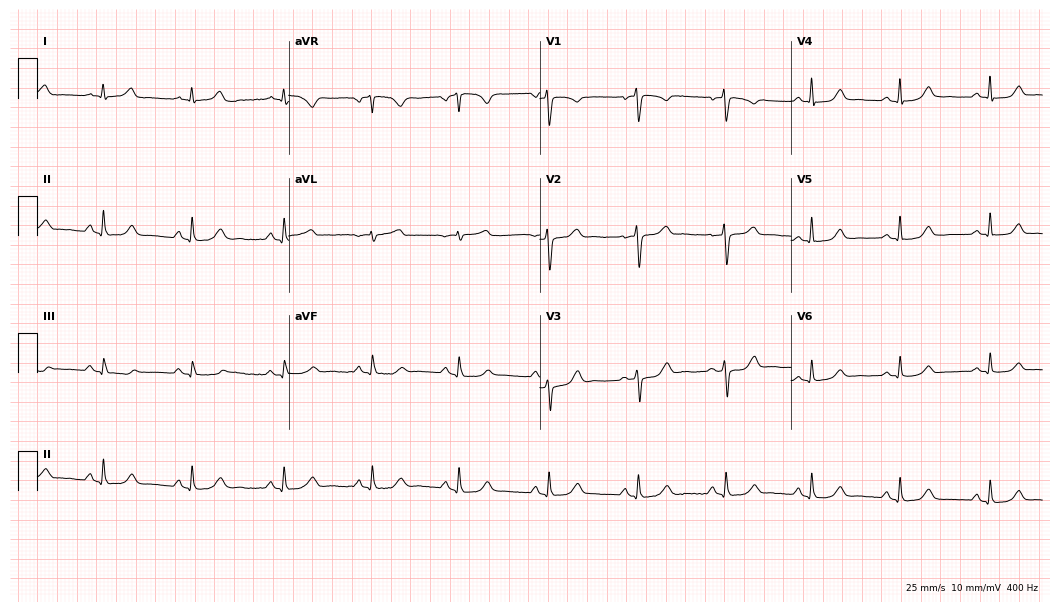
Resting 12-lead electrocardiogram (10.2-second recording at 400 Hz). Patient: a female, 53 years old. Read as a normal ECG.